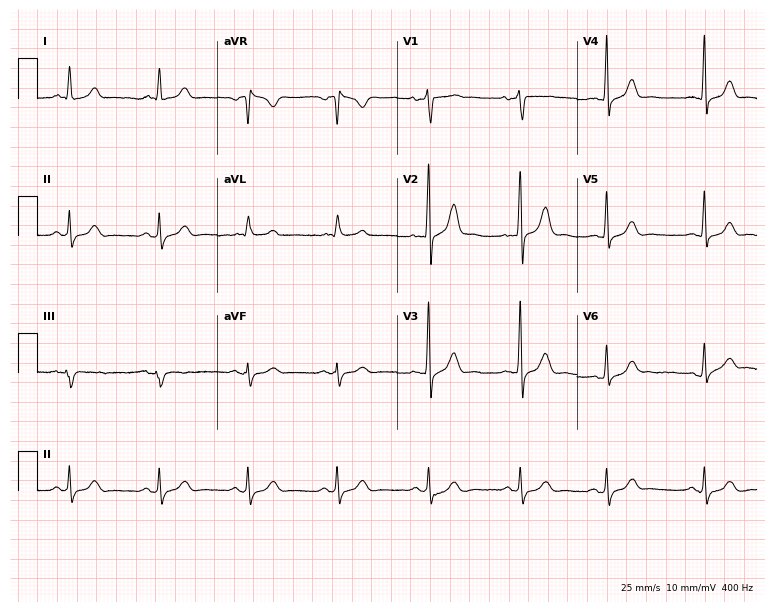
Resting 12-lead electrocardiogram. Patient: a male, 69 years old. Read as a normal ECG.